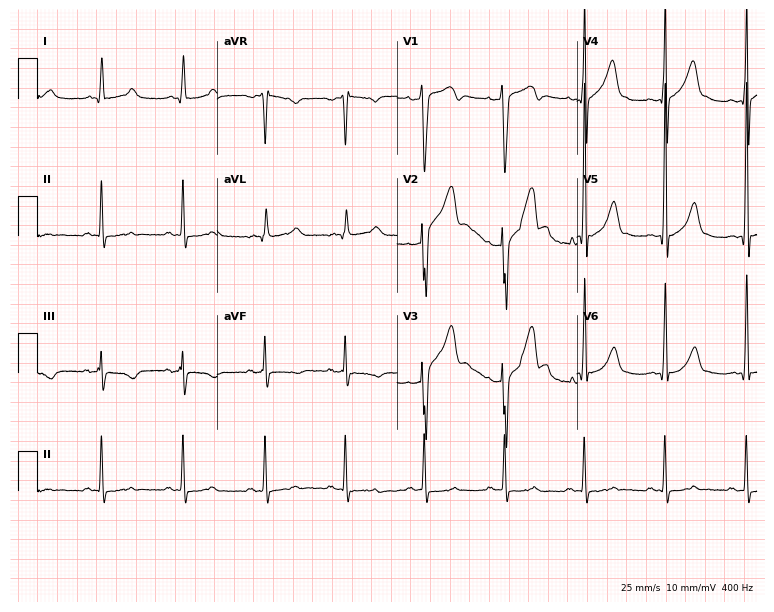
12-lead ECG (7.3-second recording at 400 Hz) from a male patient, 36 years old. Labelled as a normal ECG.